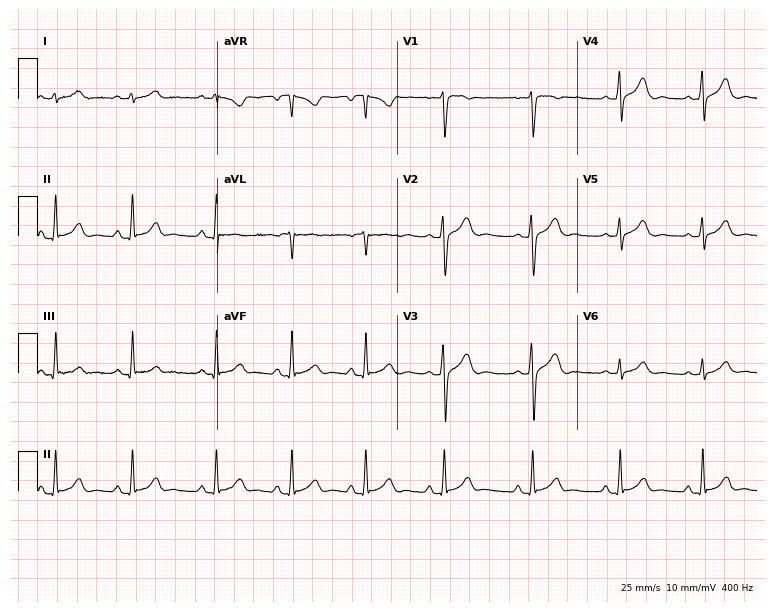
12-lead ECG (7.3-second recording at 400 Hz) from a woman, 21 years old. Screened for six findings — first-degree AV block, right bundle branch block, left bundle branch block, sinus bradycardia, atrial fibrillation, sinus tachycardia — none is recorded. Only these six findings were labelled.